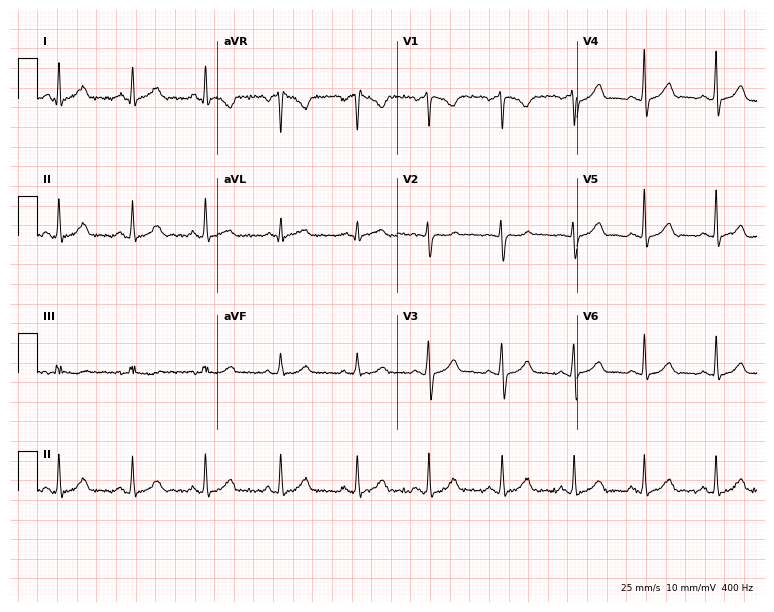
Standard 12-lead ECG recorded from a woman, 19 years old. Read as a normal ECG.